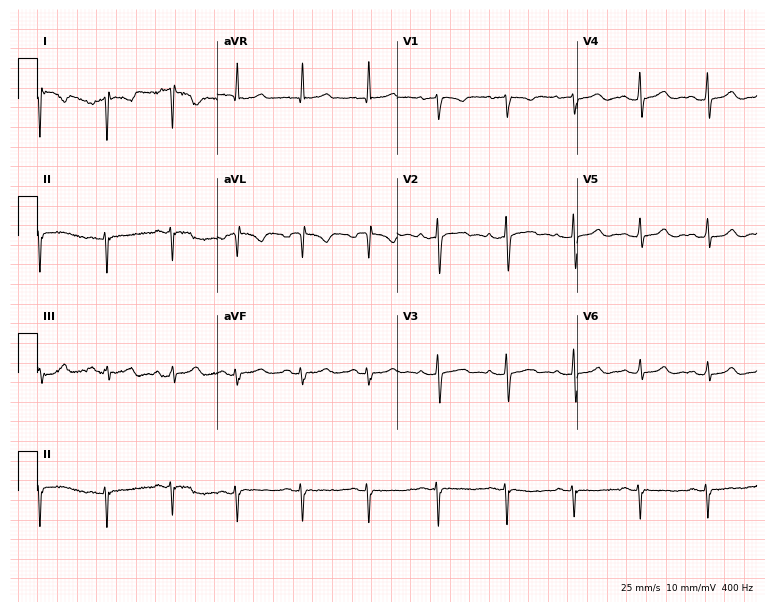
ECG (7.3-second recording at 400 Hz) — a 39-year-old female patient. Screened for six findings — first-degree AV block, right bundle branch block (RBBB), left bundle branch block (LBBB), sinus bradycardia, atrial fibrillation (AF), sinus tachycardia — none is recorded. Other findings, if any, are not listed.